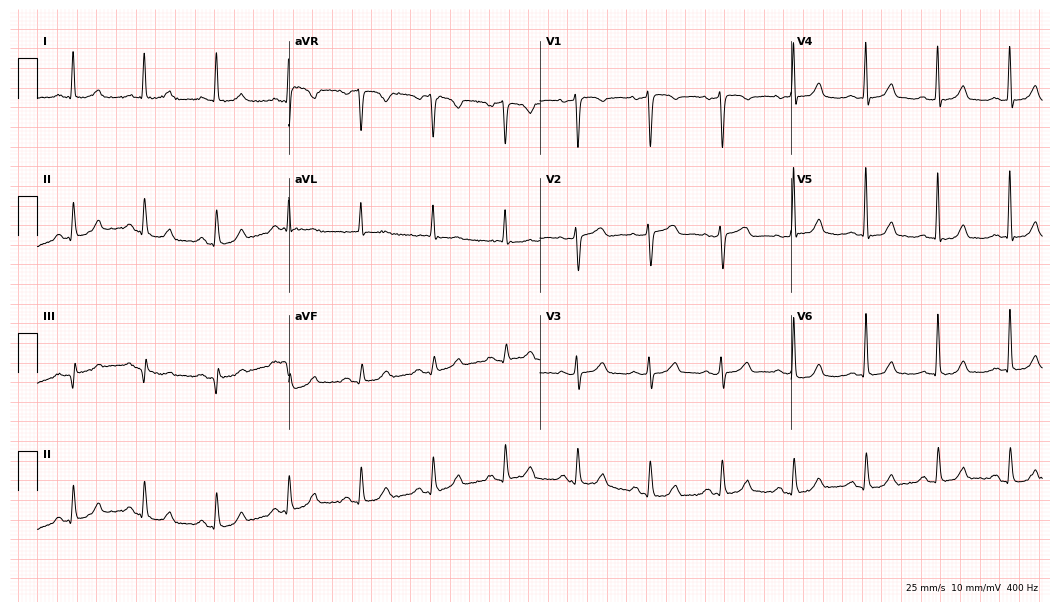
ECG (10.2-second recording at 400 Hz) — a female, 79 years old. Labelled as a normal ECG.